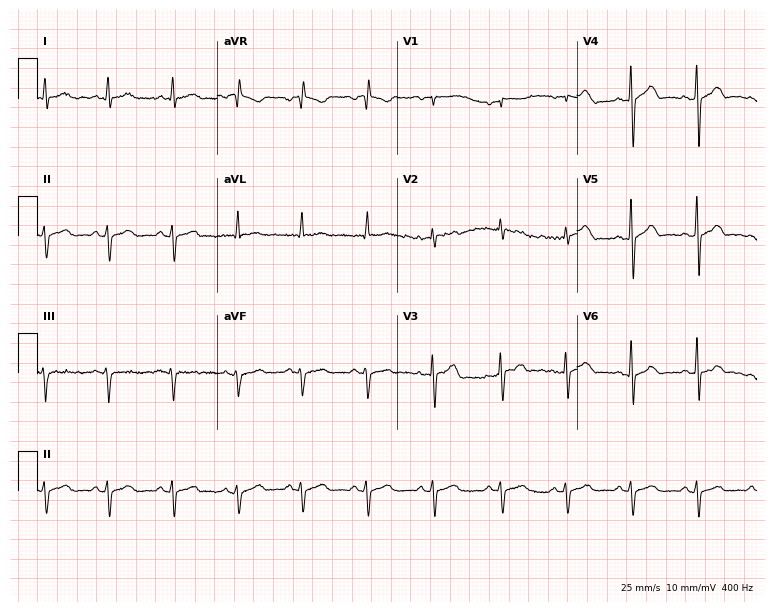
12-lead ECG (7.3-second recording at 400 Hz) from a 52-year-old male patient. Screened for six findings — first-degree AV block, right bundle branch block, left bundle branch block, sinus bradycardia, atrial fibrillation, sinus tachycardia — none is recorded.